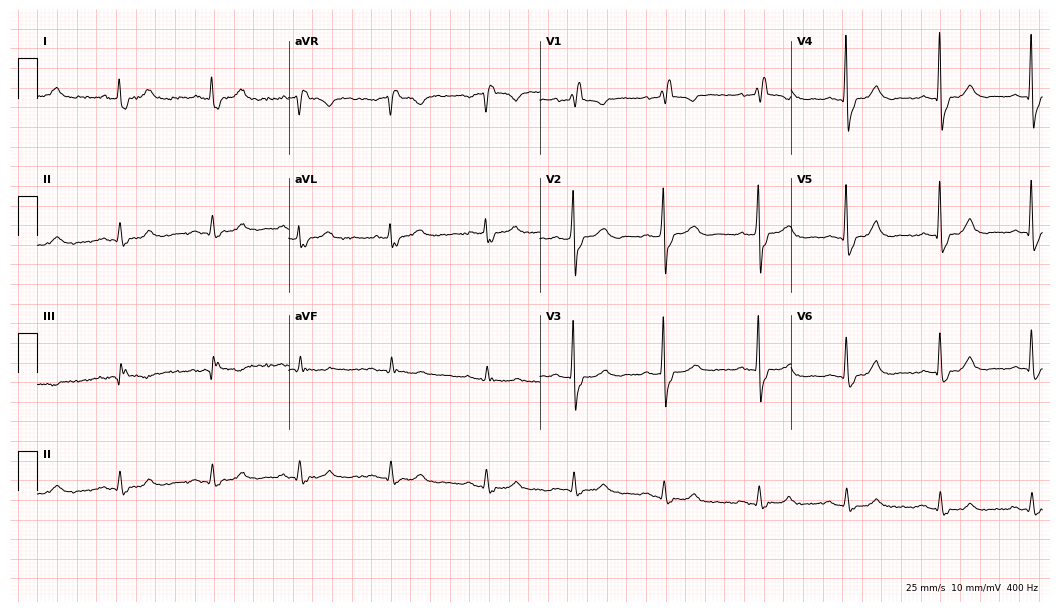
ECG (10.2-second recording at 400 Hz) — an 81-year-old male. Findings include right bundle branch block (RBBB).